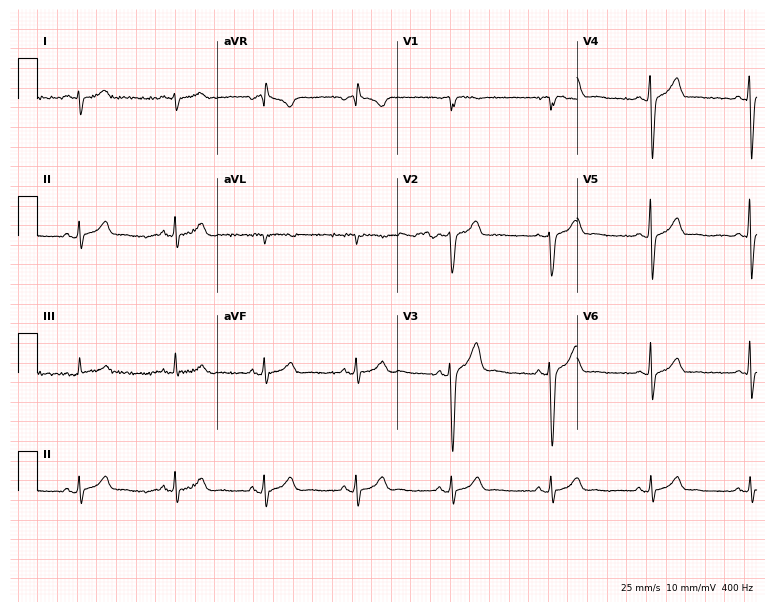
ECG (7.3-second recording at 400 Hz) — a man, 32 years old. Screened for six findings — first-degree AV block, right bundle branch block, left bundle branch block, sinus bradycardia, atrial fibrillation, sinus tachycardia — none is recorded.